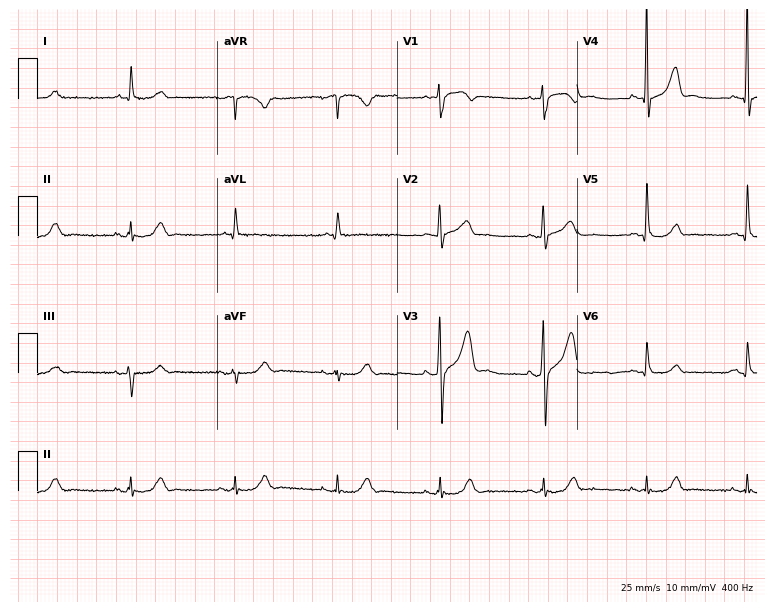
Standard 12-lead ECG recorded from a male, 80 years old. Read as a normal ECG.